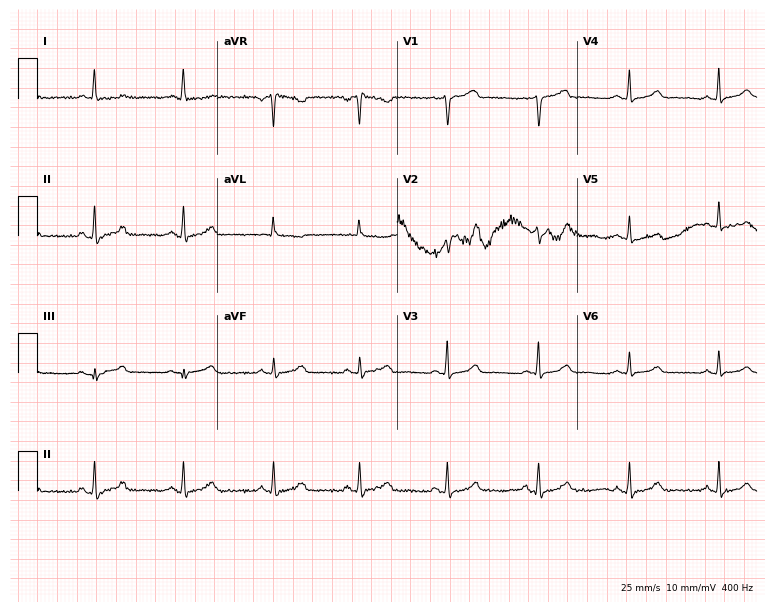
12-lead ECG from a female patient, 57 years old (7.3-second recording at 400 Hz). No first-degree AV block, right bundle branch block, left bundle branch block, sinus bradycardia, atrial fibrillation or sinus tachycardia recorded for this tracing. Other findings, if any, are not listed.